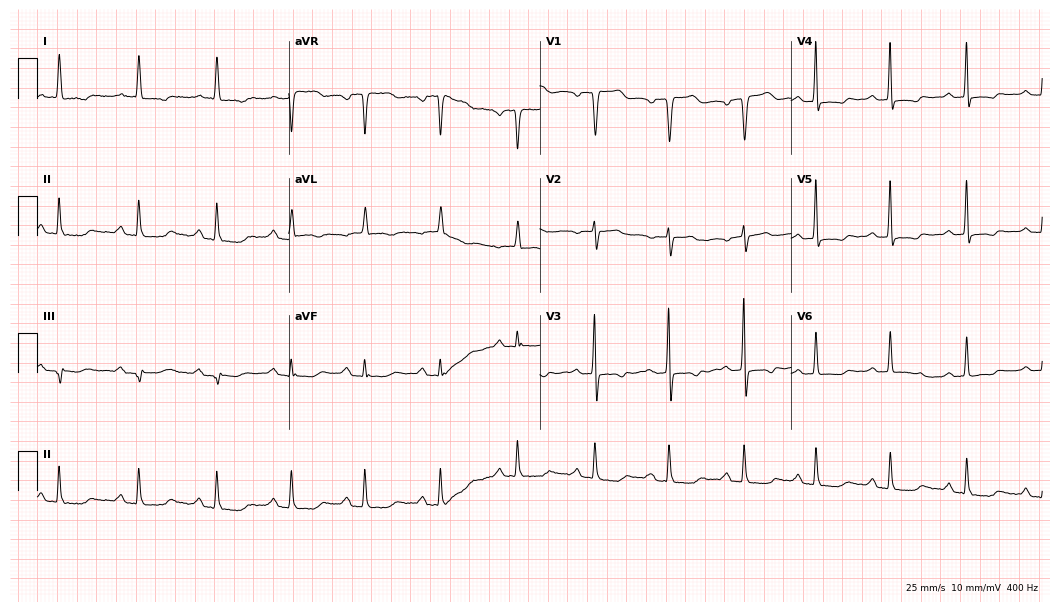
Resting 12-lead electrocardiogram (10.2-second recording at 400 Hz). Patient: an 81-year-old female. None of these six findings is recorded: first-degree AV block, right bundle branch block, left bundle branch block, sinus bradycardia, atrial fibrillation, sinus tachycardia.